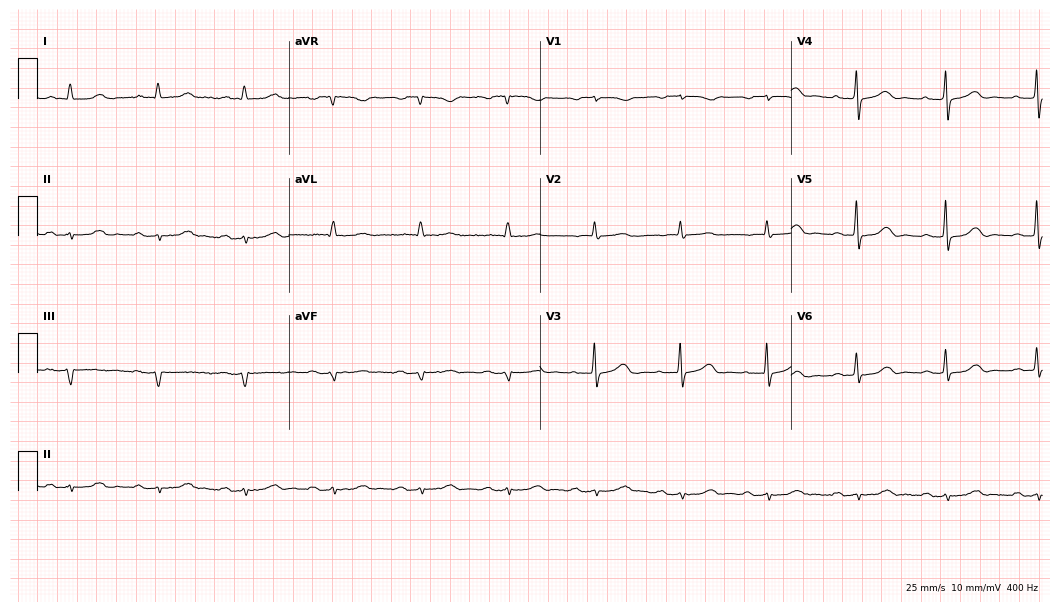
ECG — an 84-year-old female. Findings include first-degree AV block.